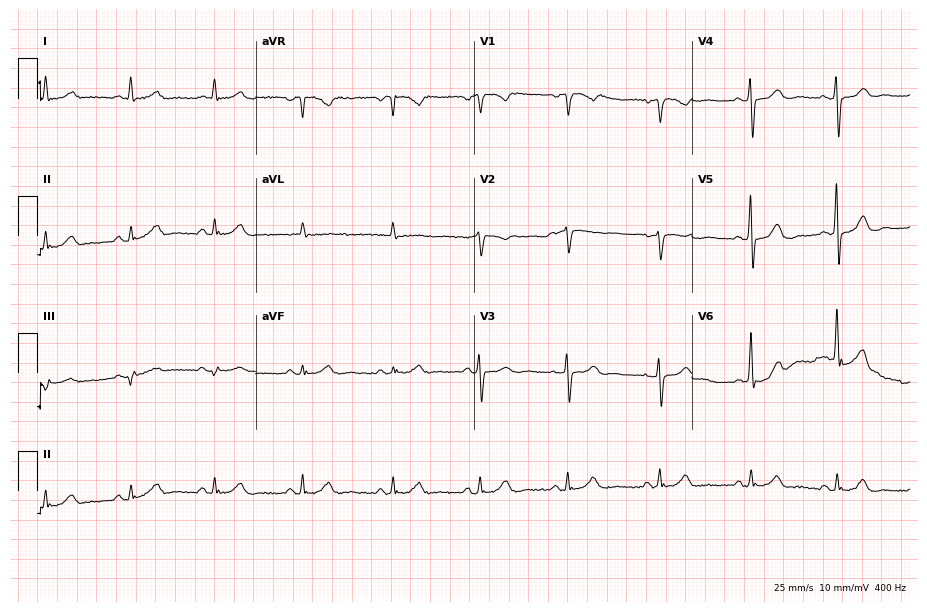
Standard 12-lead ECG recorded from a female patient, 63 years old (8.9-second recording at 400 Hz). Read as a normal ECG.